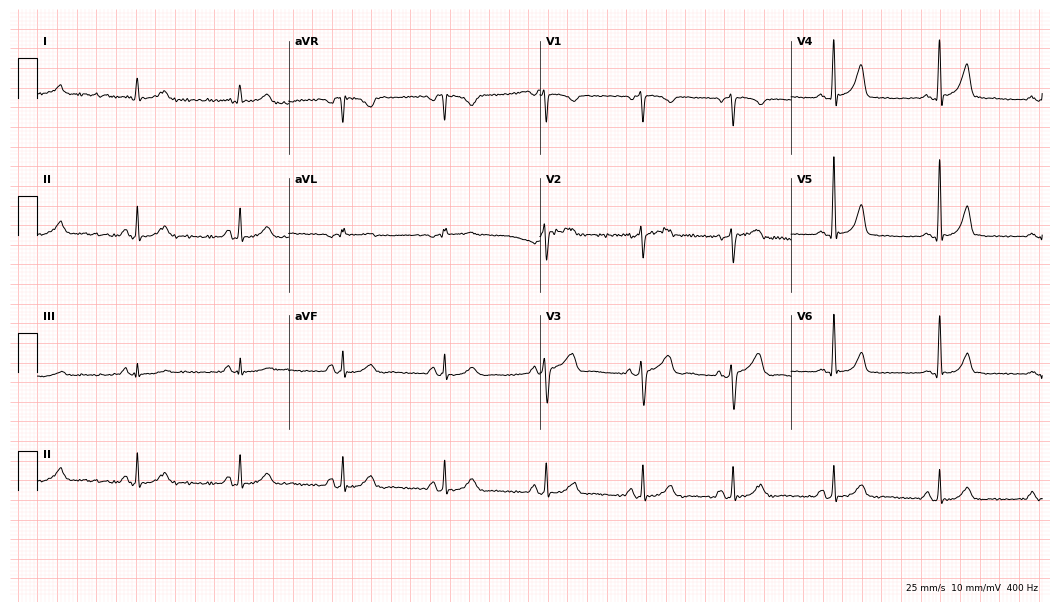
Electrocardiogram, a 54-year-old male. Overall reading on record: normal ECG.